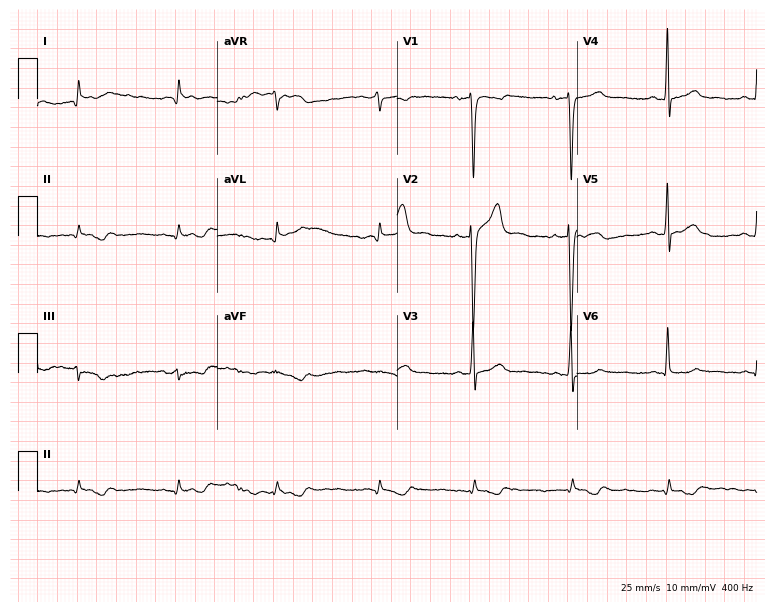
Electrocardiogram (7.3-second recording at 400 Hz), a man, 35 years old. Of the six screened findings (first-degree AV block, right bundle branch block (RBBB), left bundle branch block (LBBB), sinus bradycardia, atrial fibrillation (AF), sinus tachycardia), none is recorded. Findings outside these six are not listed.